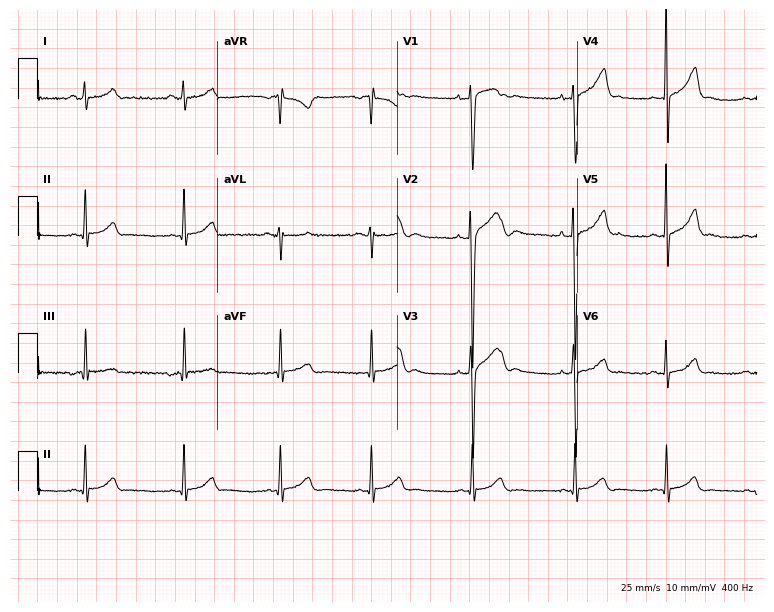
ECG — a male patient, 17 years old. Screened for six findings — first-degree AV block, right bundle branch block (RBBB), left bundle branch block (LBBB), sinus bradycardia, atrial fibrillation (AF), sinus tachycardia — none is recorded. Findings outside these six are not listed.